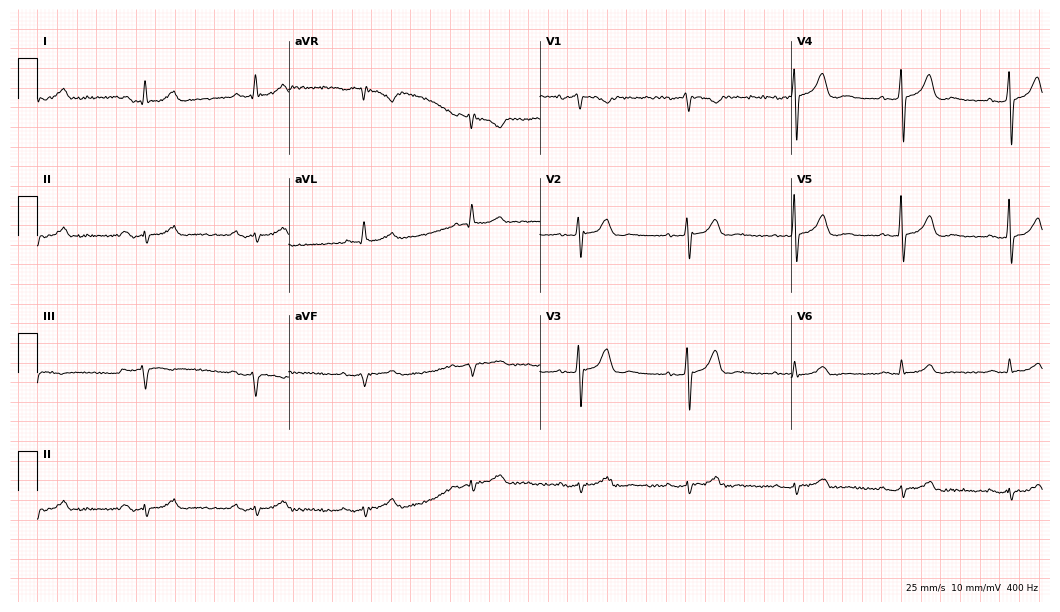
Resting 12-lead electrocardiogram (10.2-second recording at 400 Hz). Patient: a 76-year-old male. None of these six findings is recorded: first-degree AV block, right bundle branch block, left bundle branch block, sinus bradycardia, atrial fibrillation, sinus tachycardia.